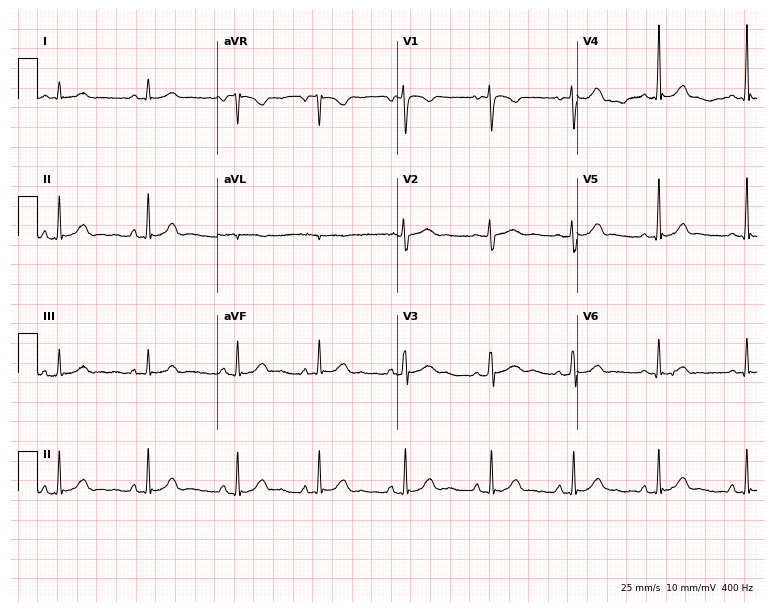
Electrocardiogram, a female, 18 years old. Overall reading on record: normal ECG.